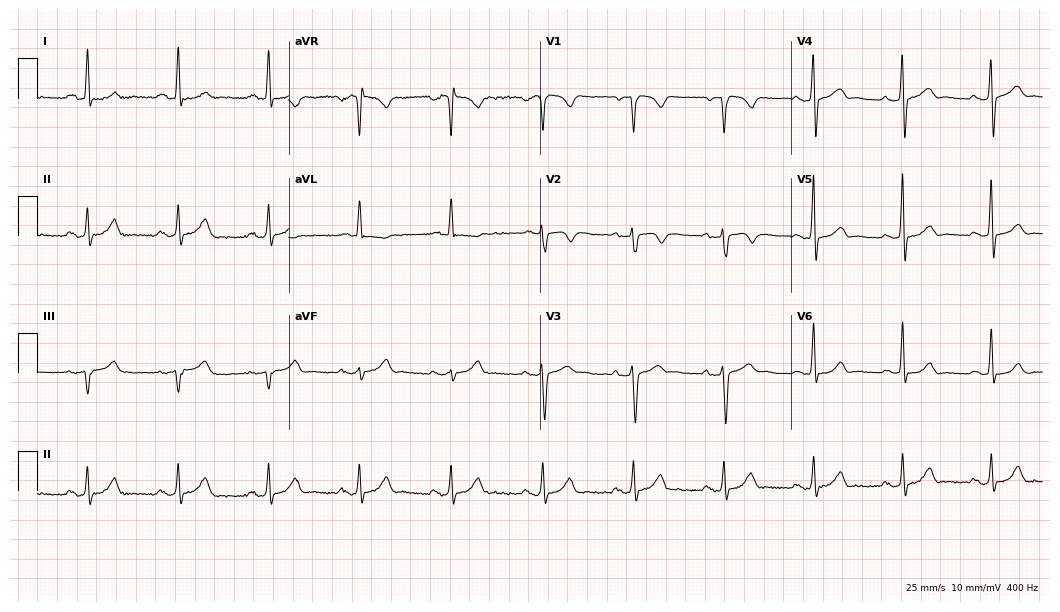
Electrocardiogram, a male, 58 years old. Of the six screened findings (first-degree AV block, right bundle branch block, left bundle branch block, sinus bradycardia, atrial fibrillation, sinus tachycardia), none is recorded. Other findings, if any, are not listed.